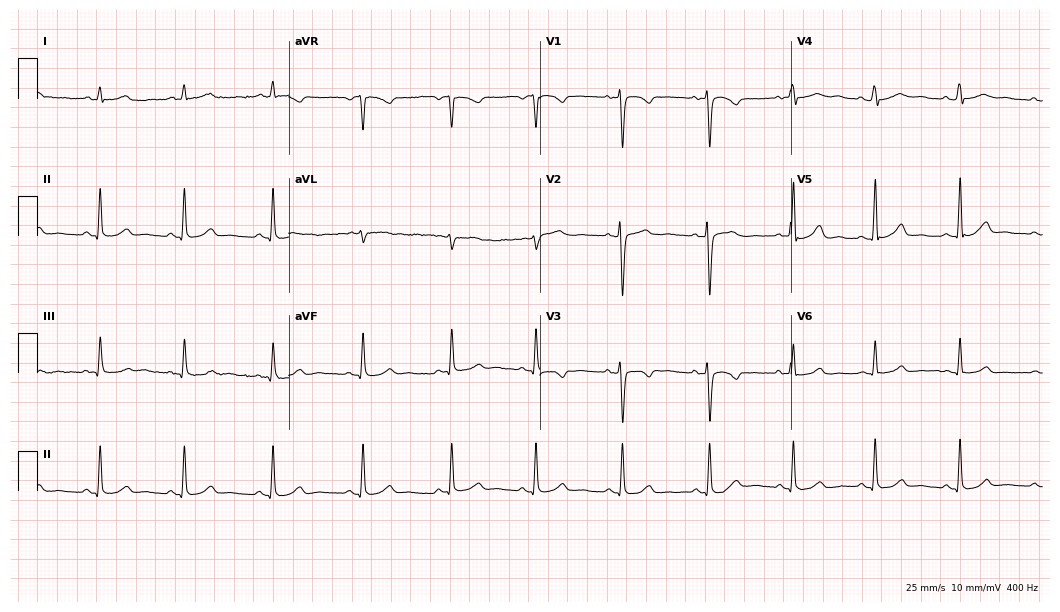
Electrocardiogram (10.2-second recording at 400 Hz), a female, 30 years old. Overall reading on record: normal ECG.